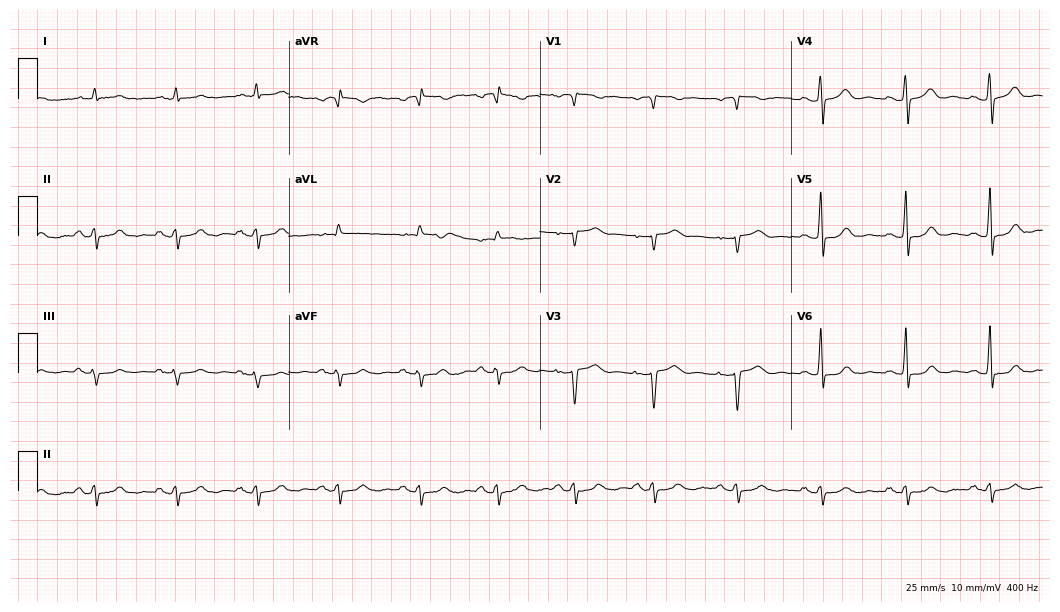
ECG — a female patient, 59 years old. Screened for six findings — first-degree AV block, right bundle branch block (RBBB), left bundle branch block (LBBB), sinus bradycardia, atrial fibrillation (AF), sinus tachycardia — none is recorded. Other findings, if any, are not listed.